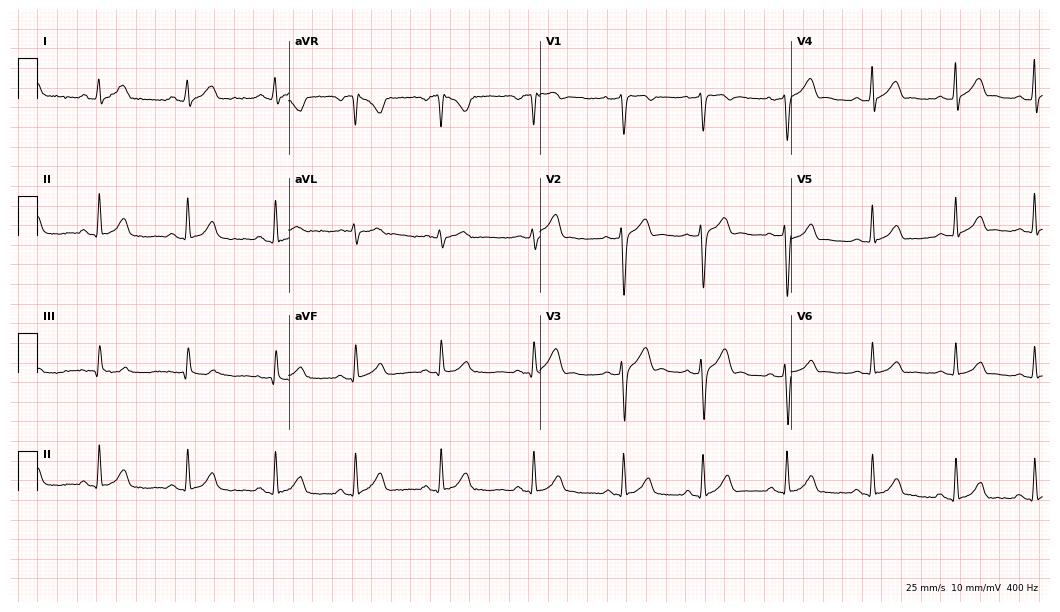
12-lead ECG (10.2-second recording at 400 Hz) from a 22-year-old man. Labelled as a normal ECG.